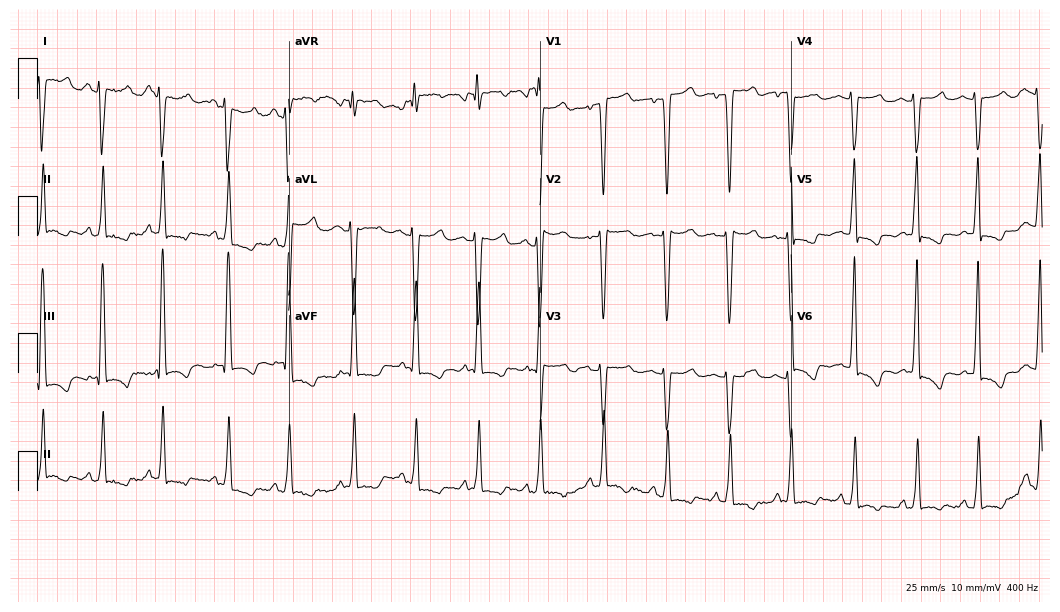
ECG (10.2-second recording at 400 Hz) — a 29-year-old woman. Screened for six findings — first-degree AV block, right bundle branch block, left bundle branch block, sinus bradycardia, atrial fibrillation, sinus tachycardia — none is recorded. Other findings, if any, are not listed.